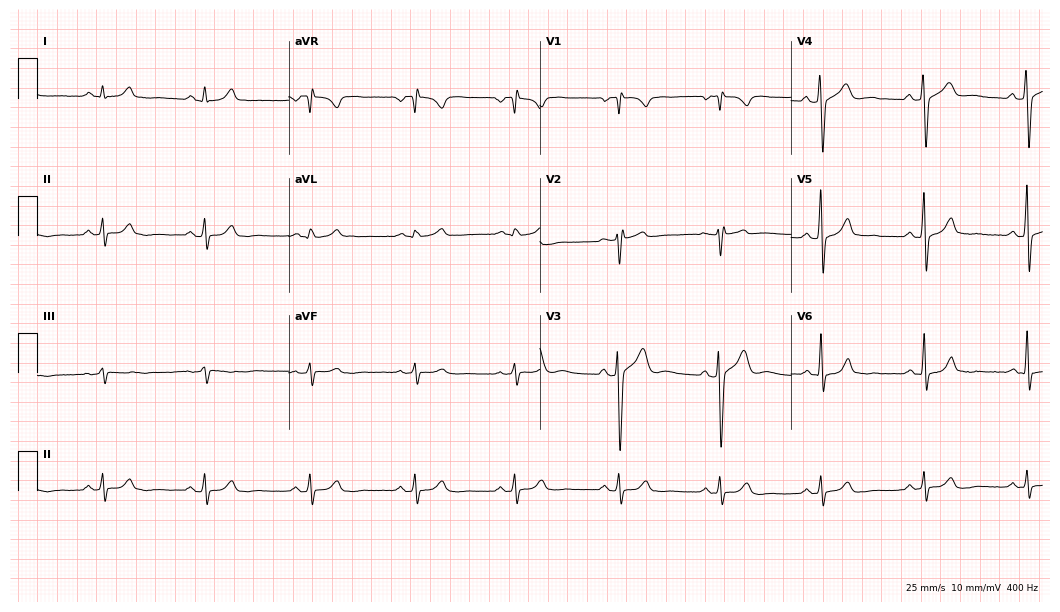
12-lead ECG from a man, 46 years old (10.2-second recording at 400 Hz). Recorded interpretation: within normal limits.